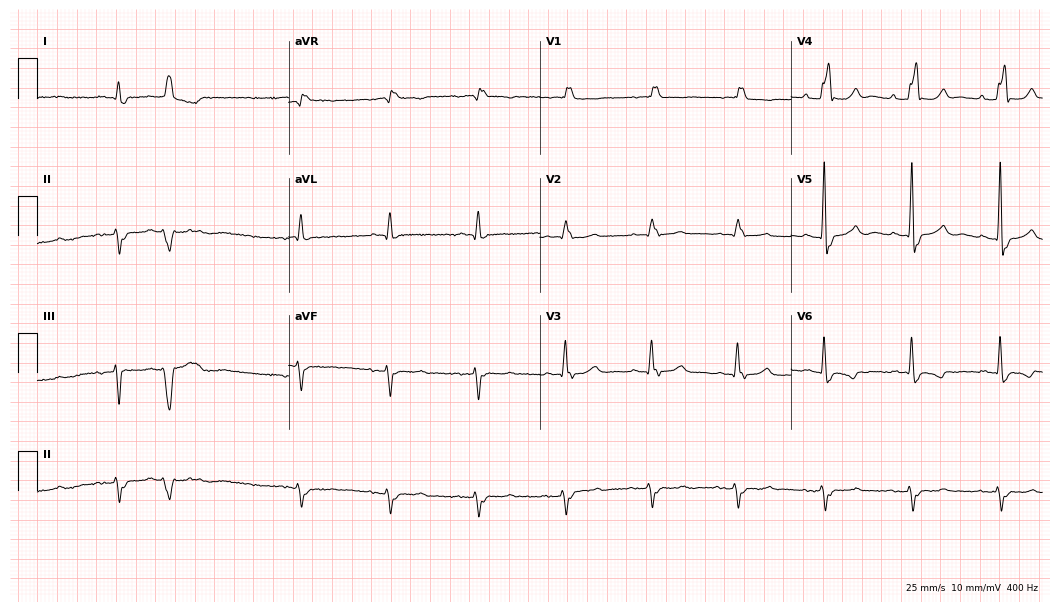
12-lead ECG (10.2-second recording at 400 Hz) from a man, 81 years old. Screened for six findings — first-degree AV block, right bundle branch block, left bundle branch block, sinus bradycardia, atrial fibrillation, sinus tachycardia — none is recorded.